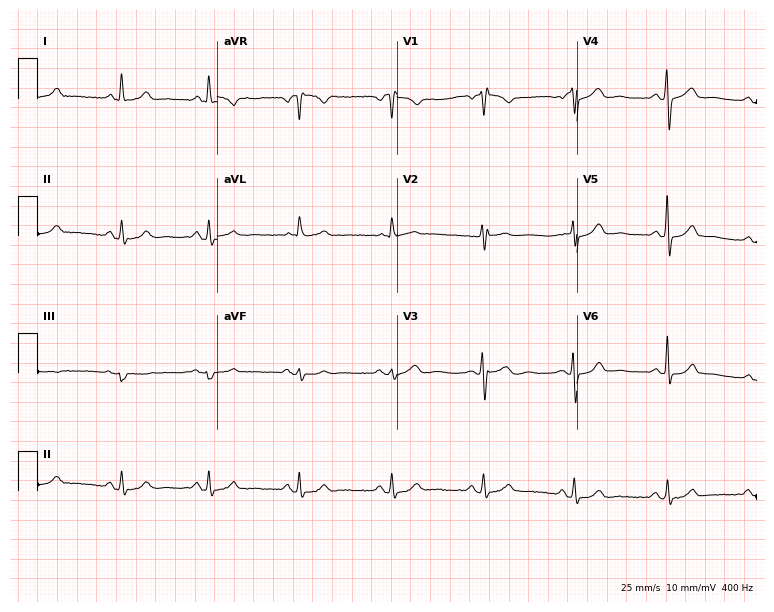
12-lead ECG (7.3-second recording at 400 Hz) from a 53-year-old female. Screened for six findings — first-degree AV block, right bundle branch block, left bundle branch block, sinus bradycardia, atrial fibrillation, sinus tachycardia — none is recorded.